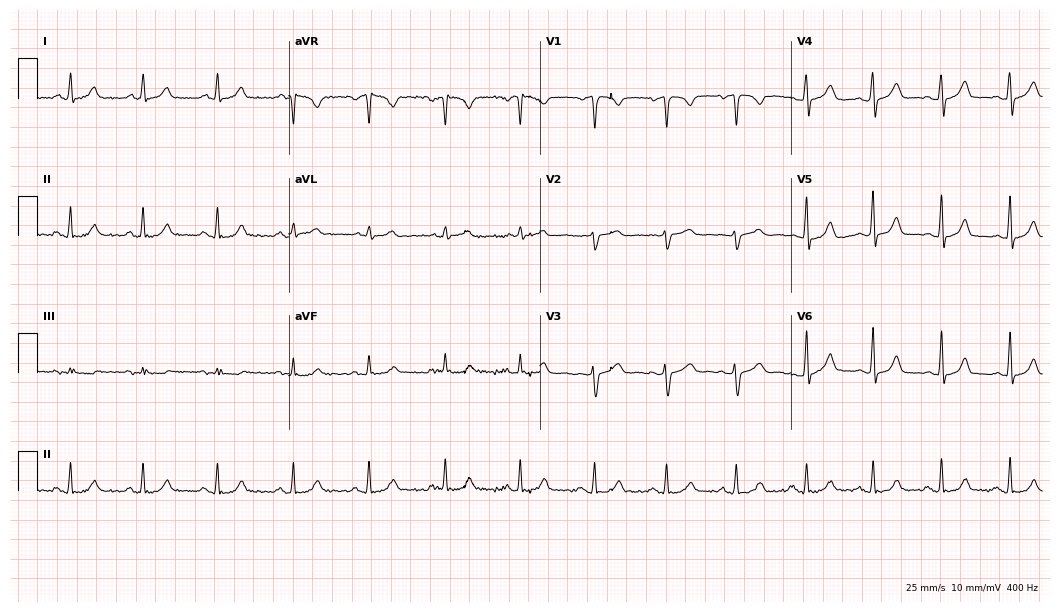
12-lead ECG (10.2-second recording at 400 Hz) from a 47-year-old female patient. Labelled as a normal ECG.